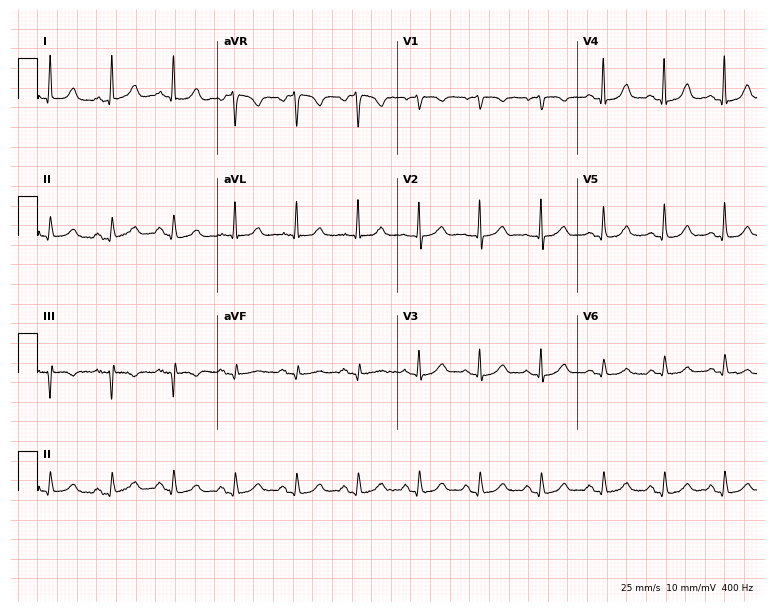
Resting 12-lead electrocardiogram. Patient: a 77-year-old man. Read as a normal ECG.